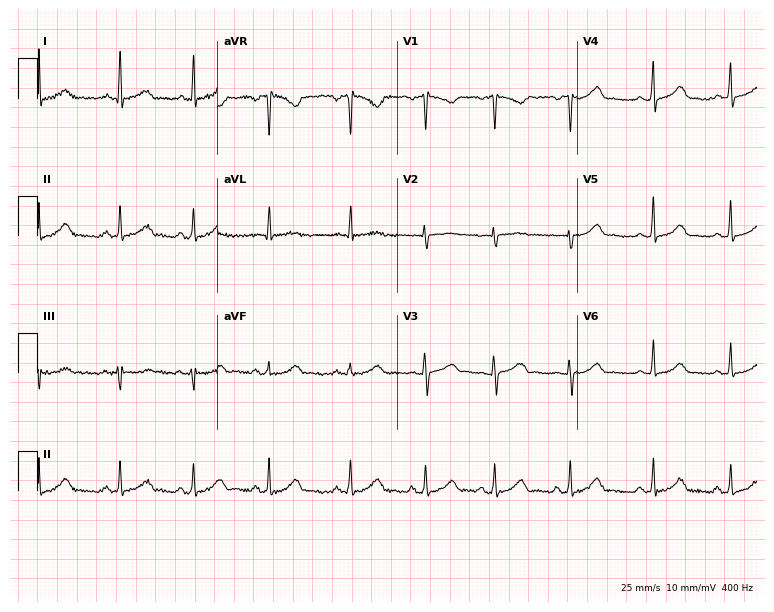
Standard 12-lead ECG recorded from a female patient, 43 years old (7.3-second recording at 400 Hz). Read as a normal ECG.